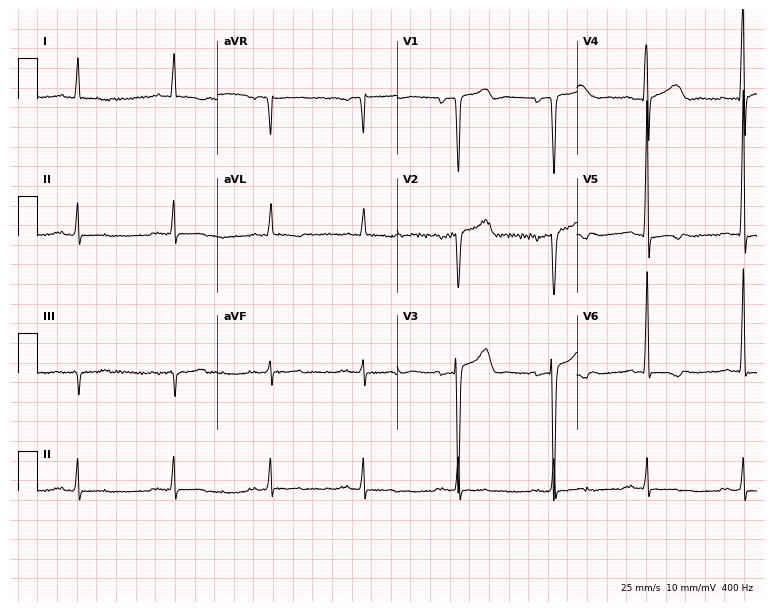
ECG — a male patient, 86 years old. Findings include first-degree AV block.